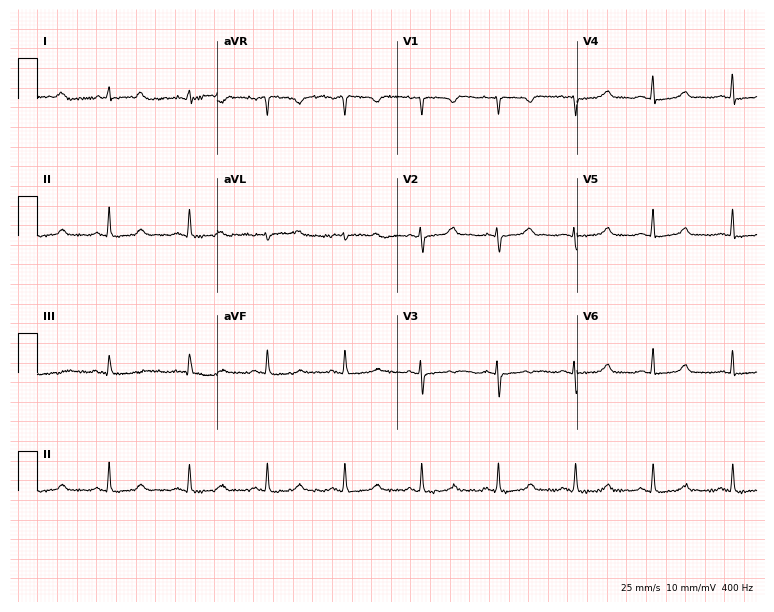
Resting 12-lead electrocardiogram. Patient: a 30-year-old woman. None of these six findings is recorded: first-degree AV block, right bundle branch block, left bundle branch block, sinus bradycardia, atrial fibrillation, sinus tachycardia. Findings outside these six are not listed.